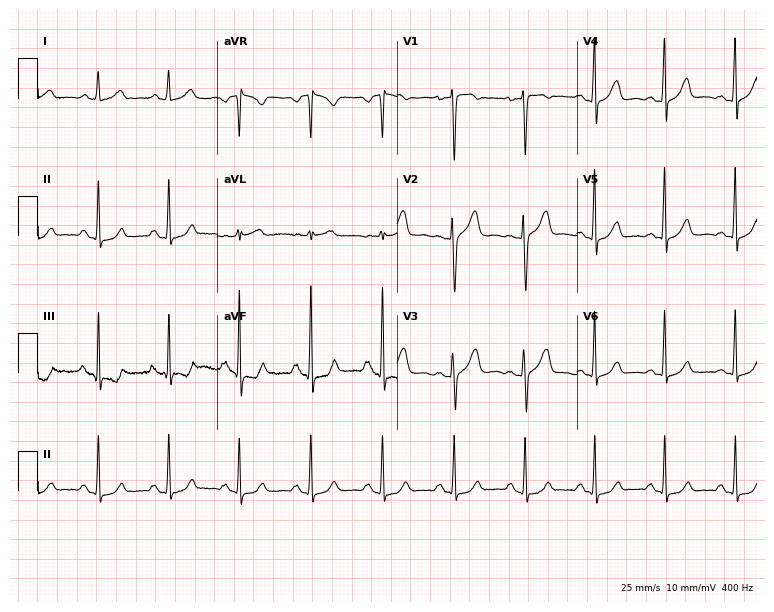
12-lead ECG from a 47-year-old female (7.3-second recording at 400 Hz). No first-degree AV block, right bundle branch block (RBBB), left bundle branch block (LBBB), sinus bradycardia, atrial fibrillation (AF) or sinus tachycardia recorded for this tracing.